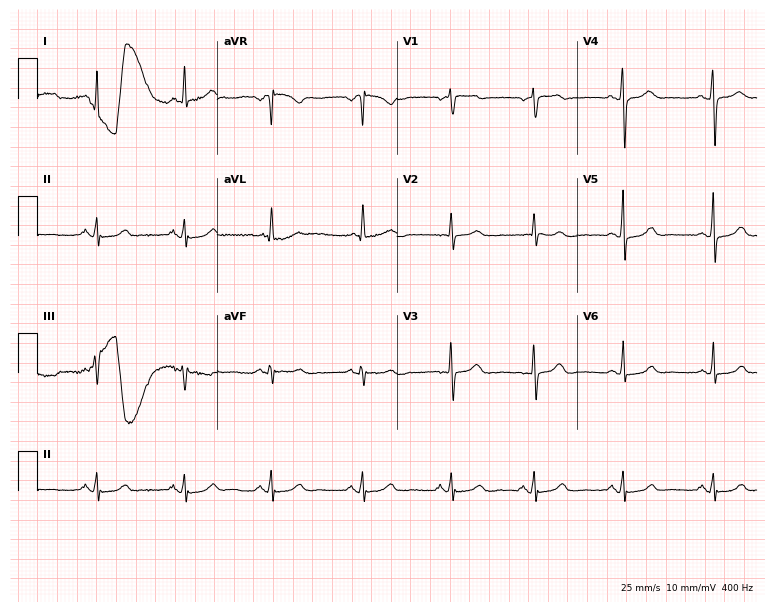
12-lead ECG from a woman, 53 years old. Recorded interpretation: within normal limits.